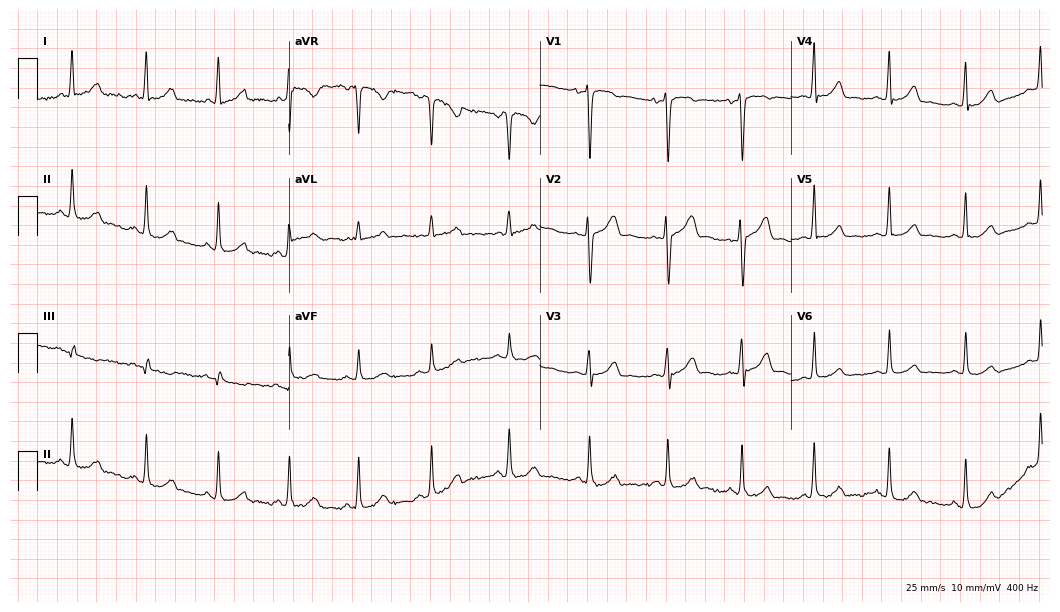
12-lead ECG from a 34-year-old female patient (10.2-second recording at 400 Hz). Recorded interpretation: within normal limits.